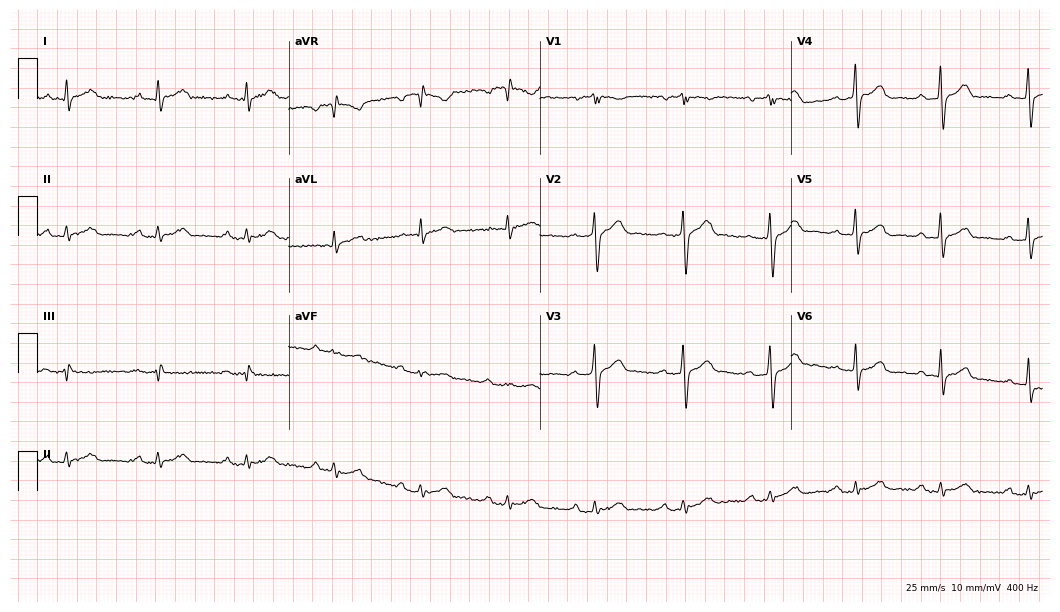
ECG — a 55-year-old male. Findings include first-degree AV block.